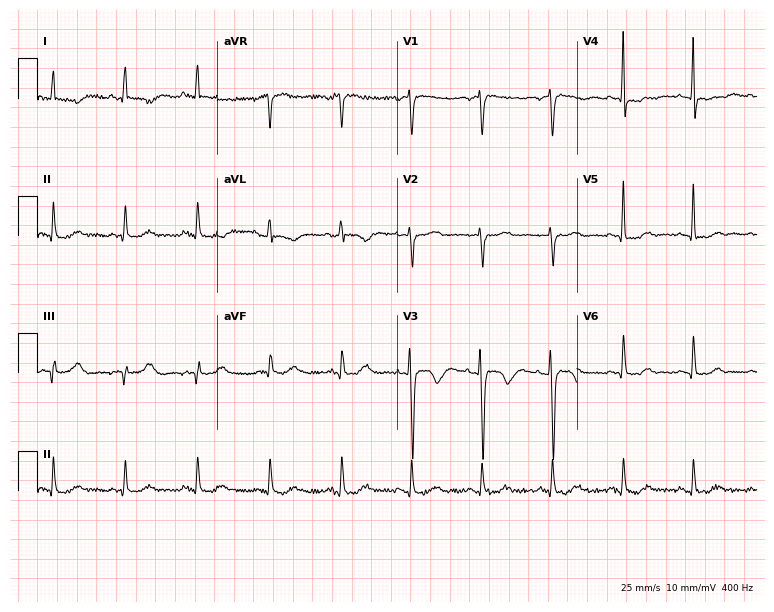
12-lead ECG from a 74-year-old female patient. Screened for six findings — first-degree AV block, right bundle branch block (RBBB), left bundle branch block (LBBB), sinus bradycardia, atrial fibrillation (AF), sinus tachycardia — none is recorded.